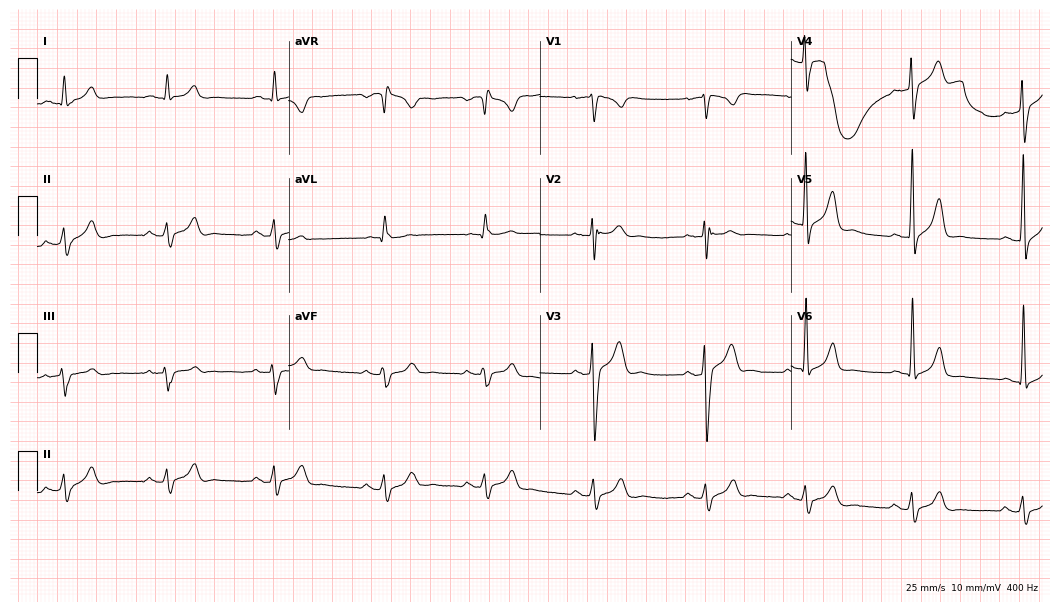
ECG — a male patient, 28 years old. Screened for six findings — first-degree AV block, right bundle branch block, left bundle branch block, sinus bradycardia, atrial fibrillation, sinus tachycardia — none is recorded.